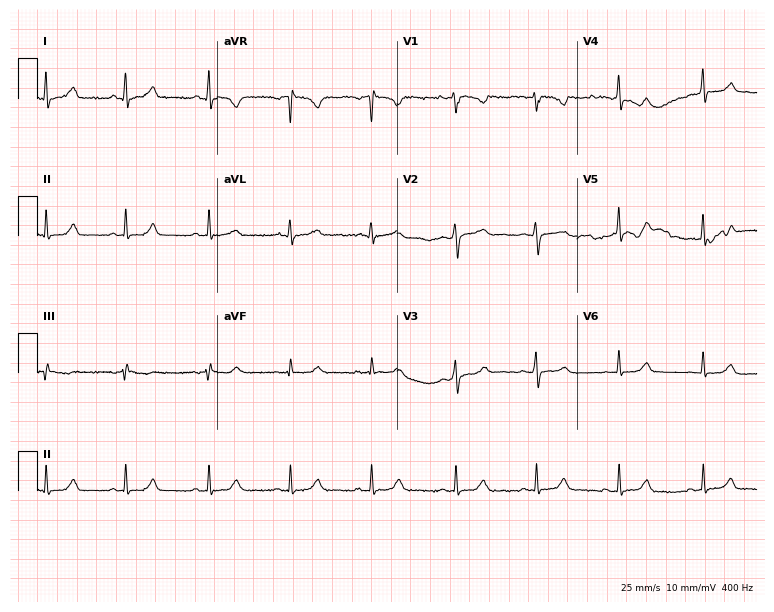
Resting 12-lead electrocardiogram. Patient: a 30-year-old female. Read as a normal ECG.